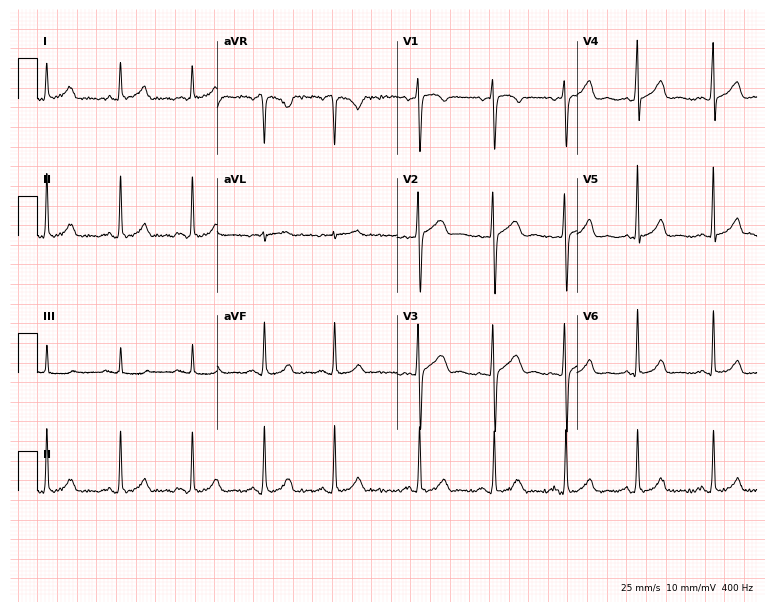
Resting 12-lead electrocardiogram (7.3-second recording at 400 Hz). Patient: a female, 41 years old. Read as a normal ECG.